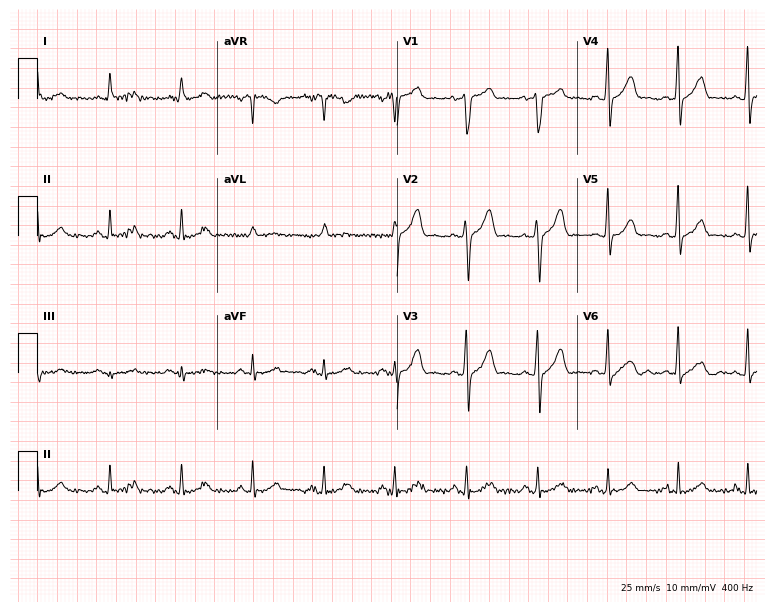
12-lead ECG (7.3-second recording at 400 Hz) from a male patient, 48 years old. Labelled as a normal ECG.